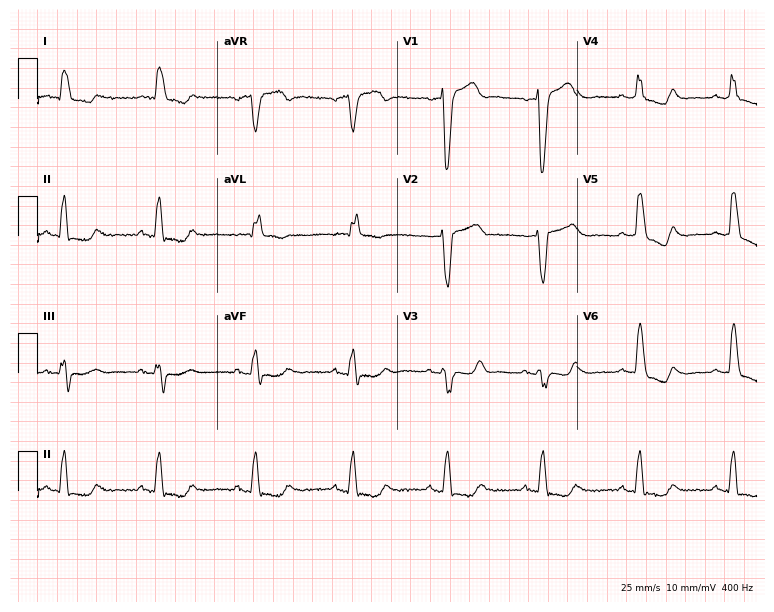
12-lead ECG (7.3-second recording at 400 Hz) from a 70-year-old female. Findings include left bundle branch block (LBBB).